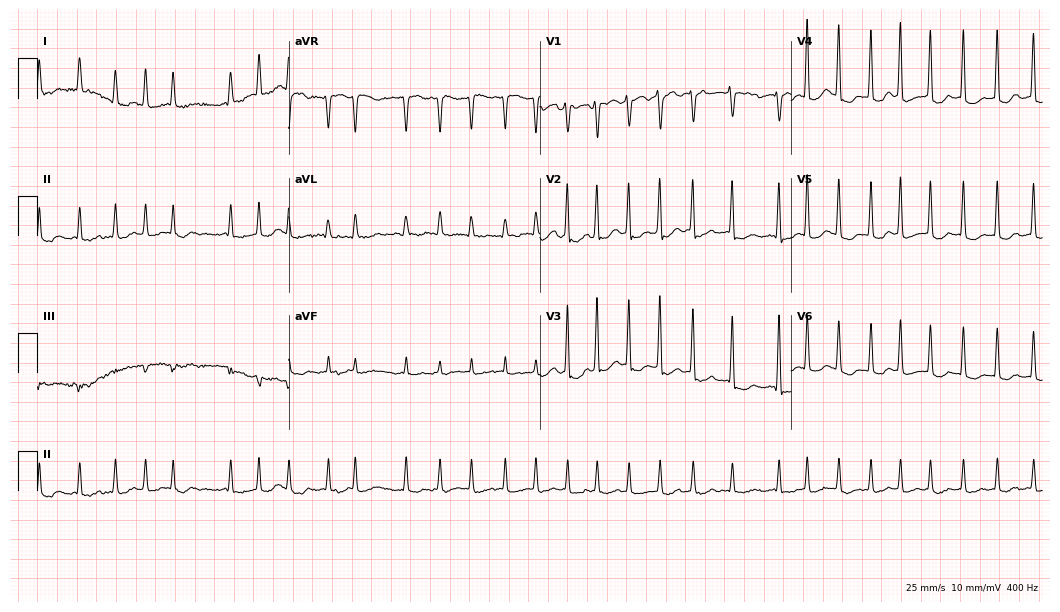
12-lead ECG from a woman, 64 years old. Shows atrial fibrillation (AF).